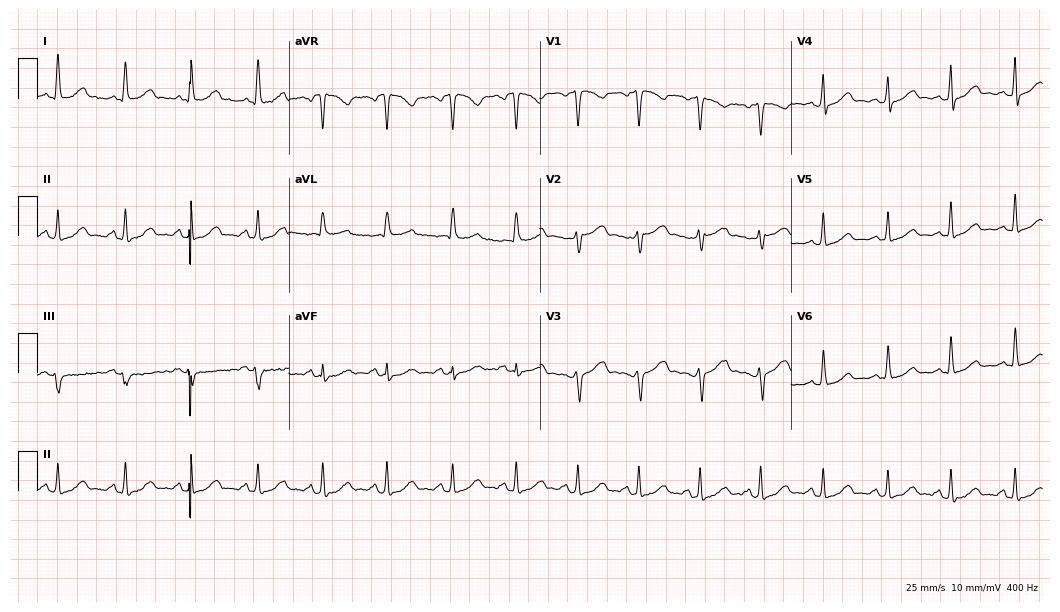
Resting 12-lead electrocardiogram. Patient: a female, 36 years old. Read as a normal ECG.